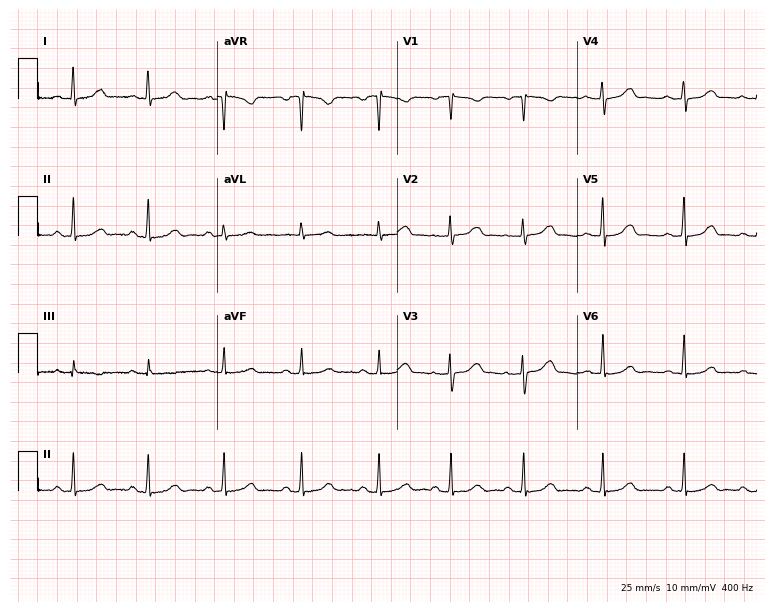
Standard 12-lead ECG recorded from a woman, 45 years old (7.3-second recording at 400 Hz). None of these six findings is recorded: first-degree AV block, right bundle branch block (RBBB), left bundle branch block (LBBB), sinus bradycardia, atrial fibrillation (AF), sinus tachycardia.